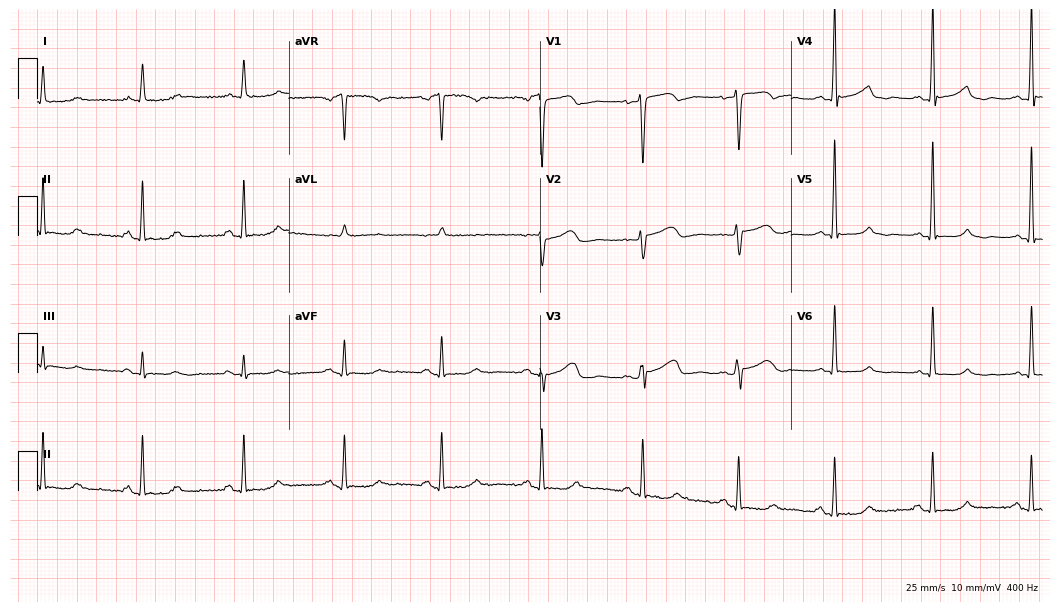
Standard 12-lead ECG recorded from a female patient, 55 years old. None of these six findings is recorded: first-degree AV block, right bundle branch block, left bundle branch block, sinus bradycardia, atrial fibrillation, sinus tachycardia.